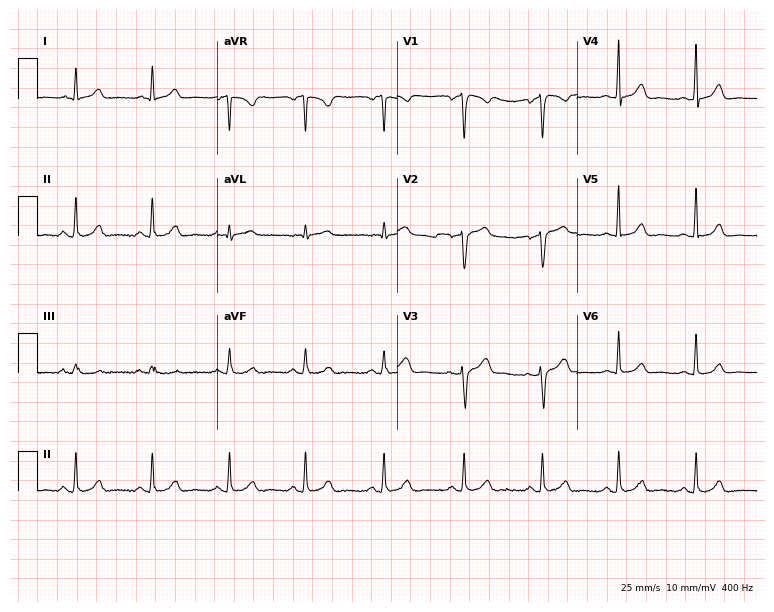
12-lead ECG from a female patient, 42 years old. Labelled as a normal ECG.